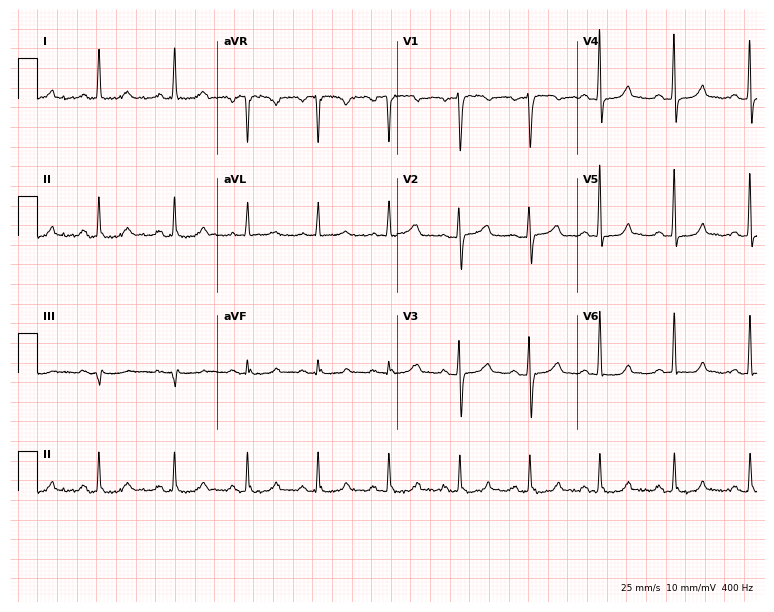
Resting 12-lead electrocardiogram. Patient: a 57-year-old woman. None of these six findings is recorded: first-degree AV block, right bundle branch block, left bundle branch block, sinus bradycardia, atrial fibrillation, sinus tachycardia. Only these six findings were labelled.